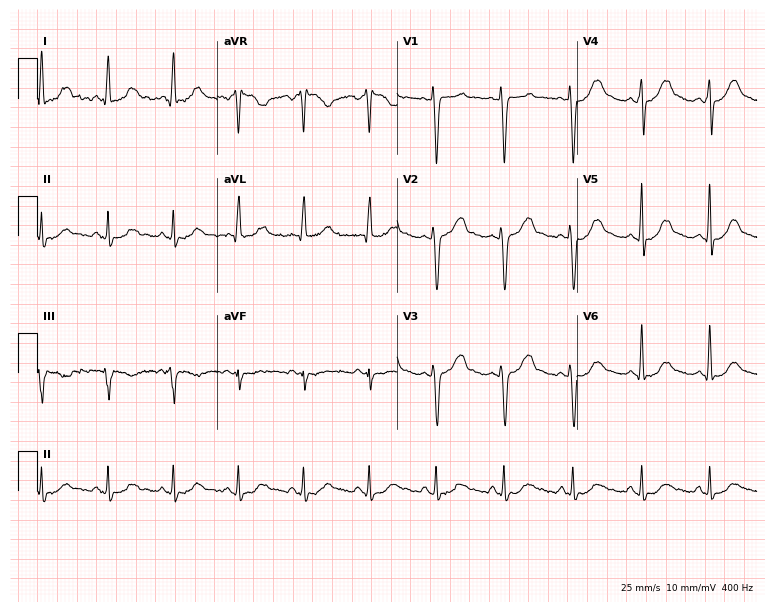
Resting 12-lead electrocardiogram (7.3-second recording at 400 Hz). Patient: a 39-year-old female. Read as a normal ECG.